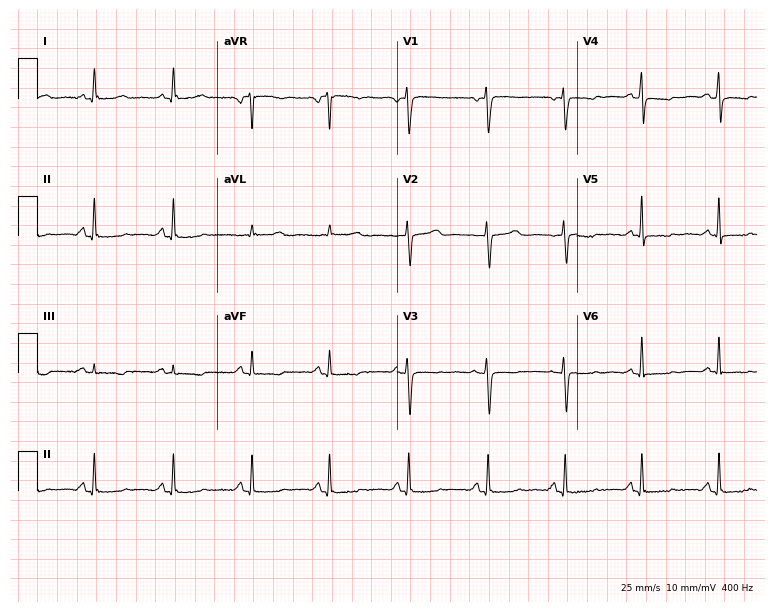
12-lead ECG from a female, 59 years old. Screened for six findings — first-degree AV block, right bundle branch block (RBBB), left bundle branch block (LBBB), sinus bradycardia, atrial fibrillation (AF), sinus tachycardia — none is recorded.